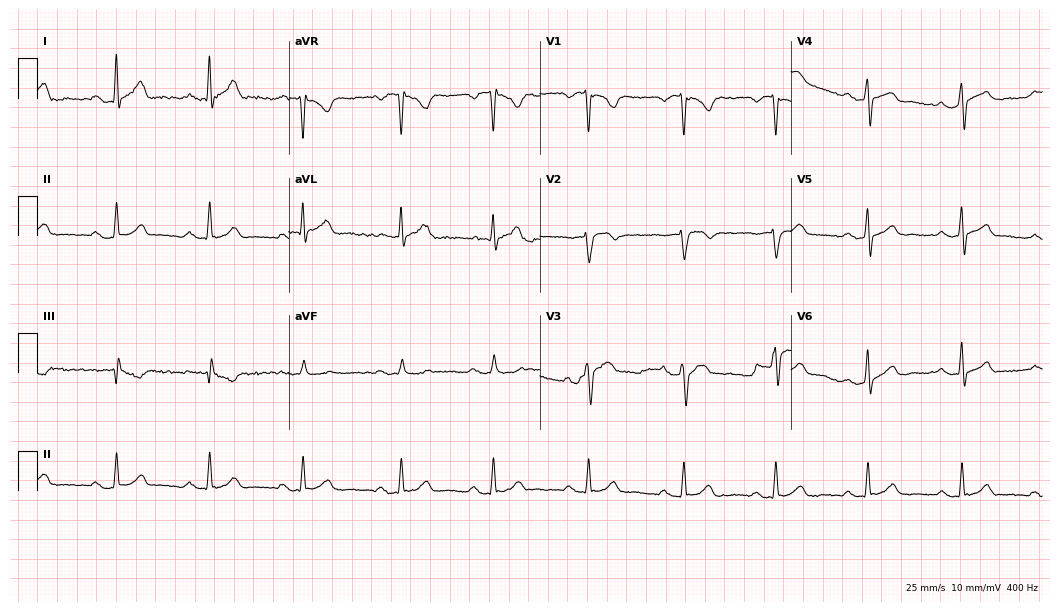
ECG — a male, 50 years old. Labelled as a normal ECG.